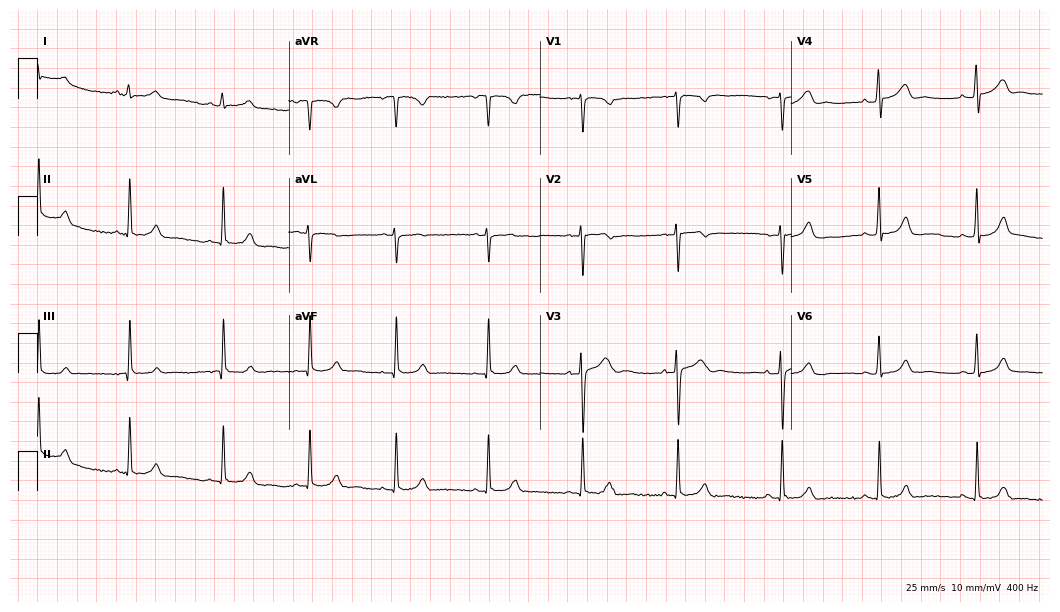
12-lead ECG from a female patient, 26 years old (10.2-second recording at 400 Hz). Recorded interpretation: within normal limits.